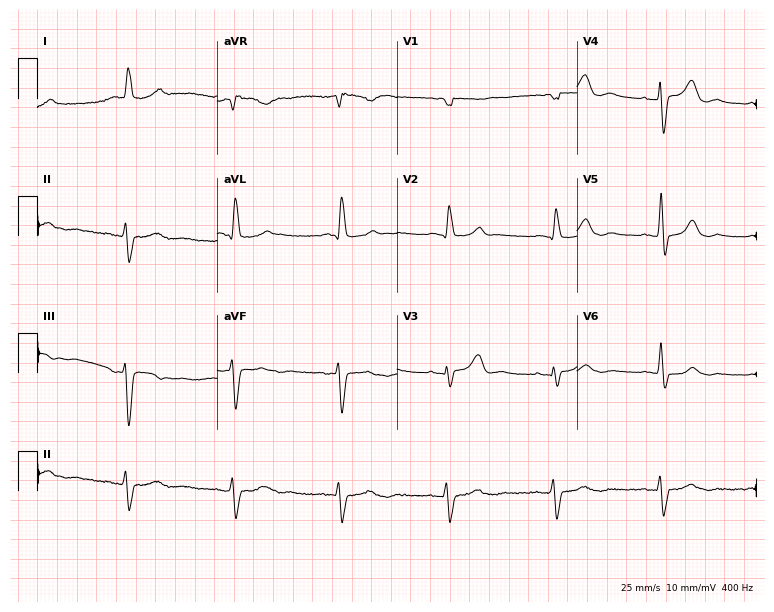
ECG — a man, 81 years old. Findings include right bundle branch block (RBBB).